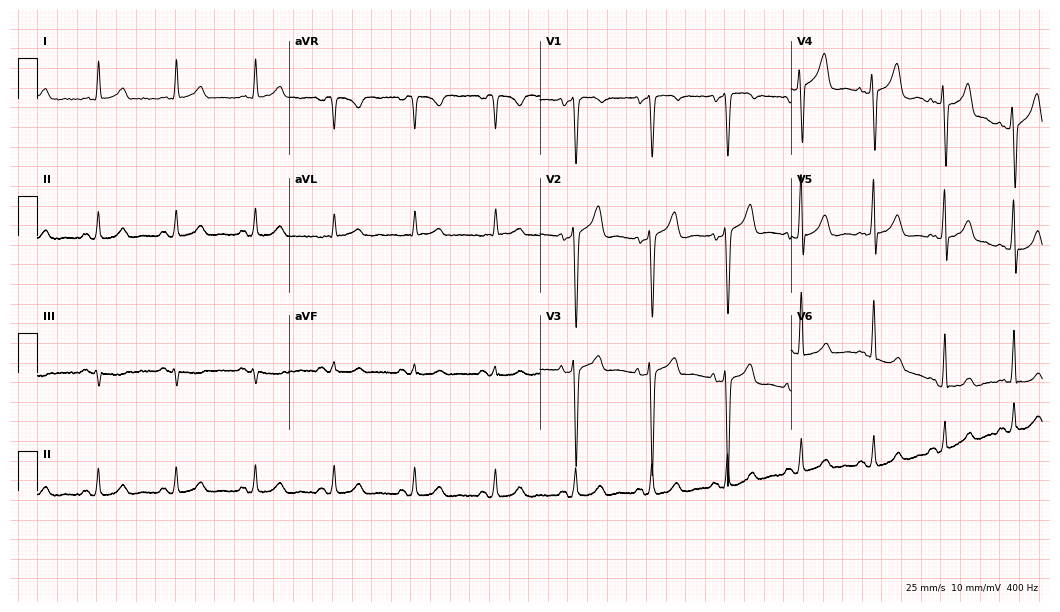
12-lead ECG from a 60-year-old male patient (10.2-second recording at 400 Hz). Recorded interpretation: within normal limits.